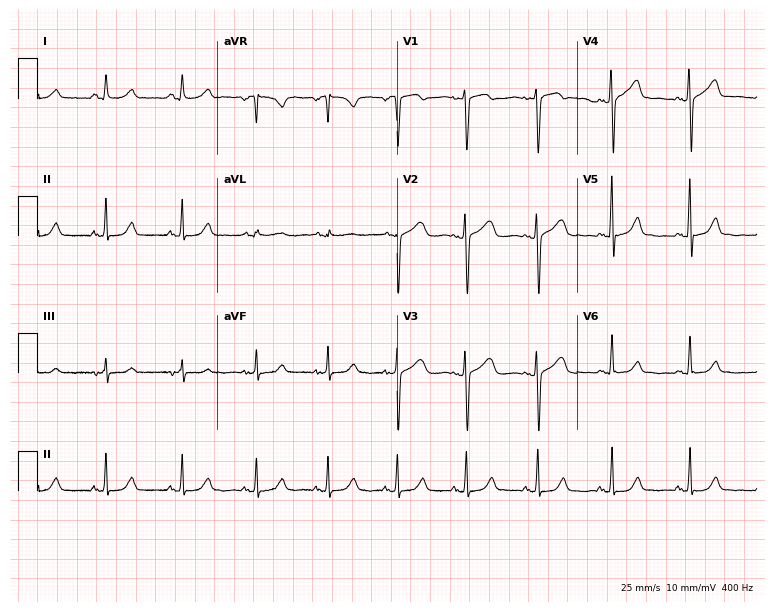
Resting 12-lead electrocardiogram. Patient: a woman, 45 years old. None of these six findings is recorded: first-degree AV block, right bundle branch block, left bundle branch block, sinus bradycardia, atrial fibrillation, sinus tachycardia. Only these six findings were labelled.